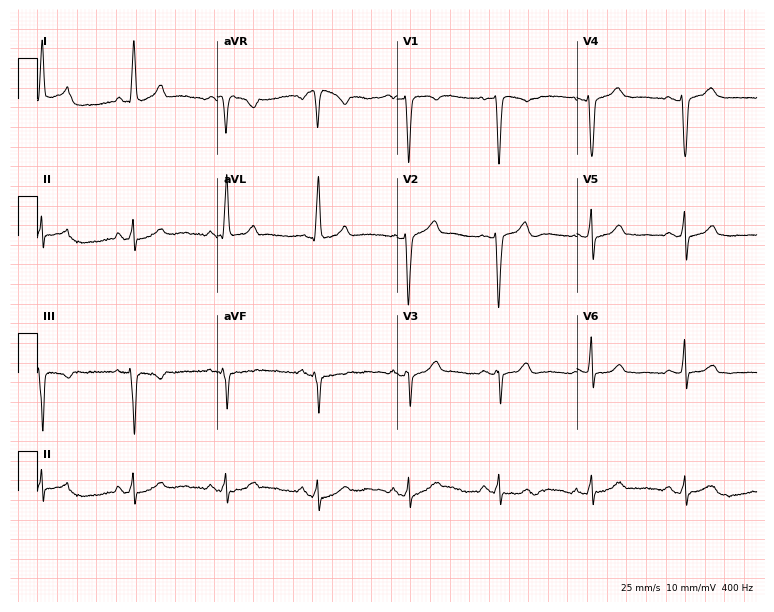
Standard 12-lead ECG recorded from a 64-year-old woman (7.3-second recording at 400 Hz). Read as a normal ECG.